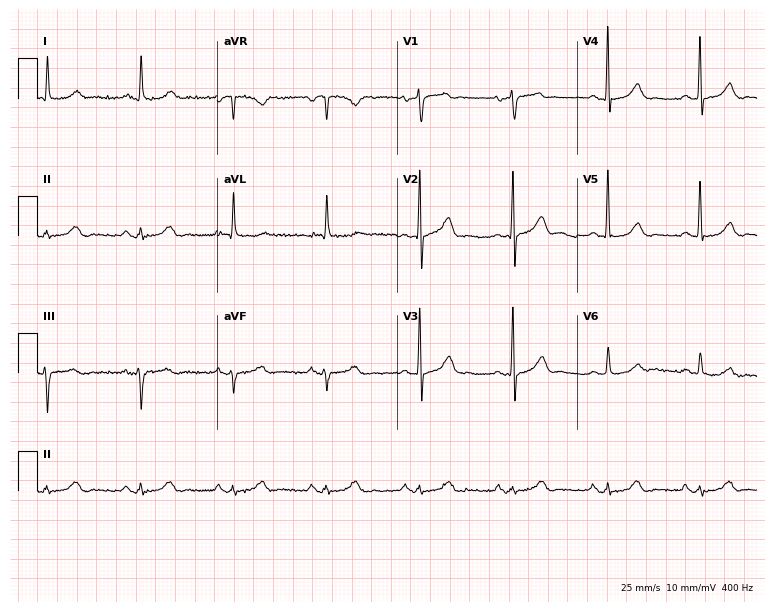
Electrocardiogram, a 74-year-old male patient. Of the six screened findings (first-degree AV block, right bundle branch block, left bundle branch block, sinus bradycardia, atrial fibrillation, sinus tachycardia), none is recorded.